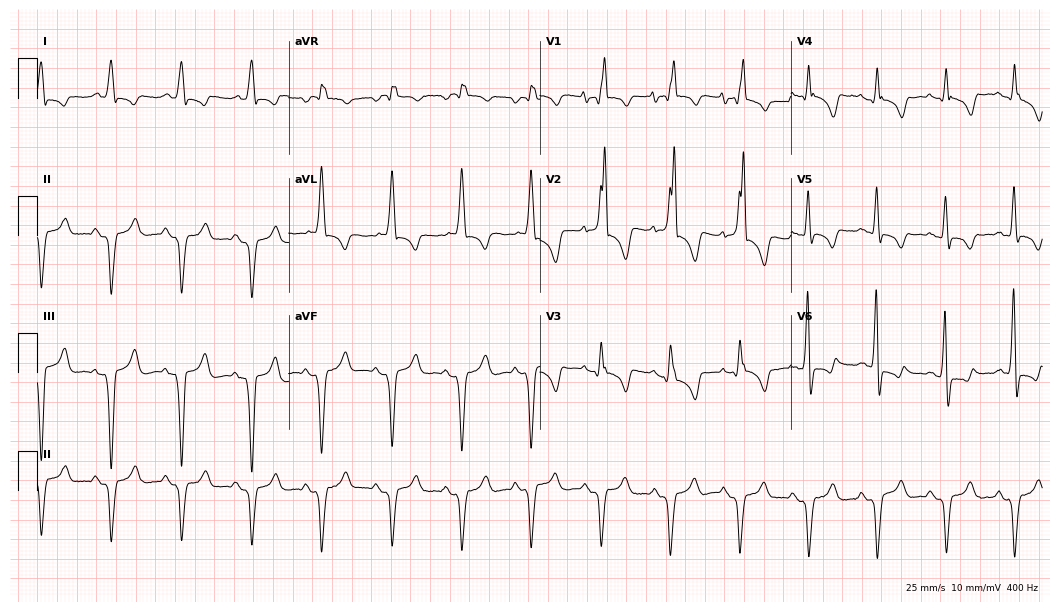
ECG (10.2-second recording at 400 Hz) — a man, 82 years old. Findings include right bundle branch block.